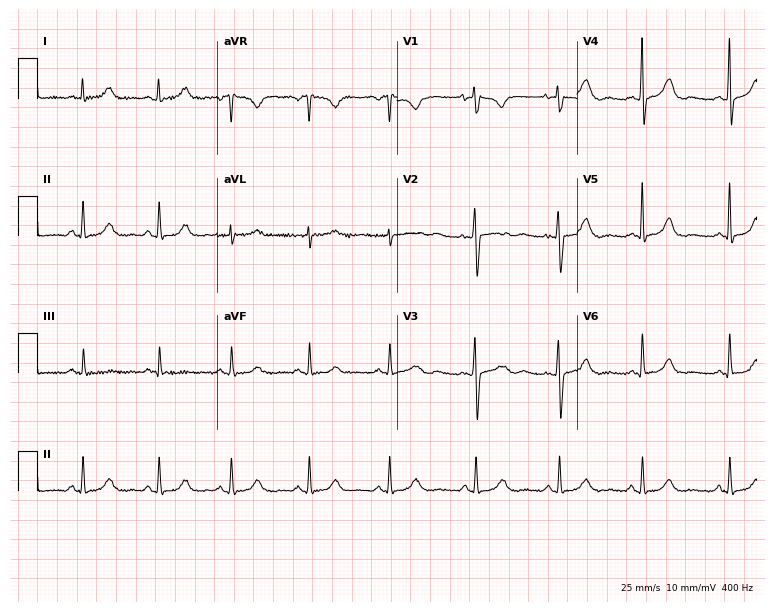
ECG (7.3-second recording at 400 Hz) — a female, 33 years old. Labelled as a normal ECG.